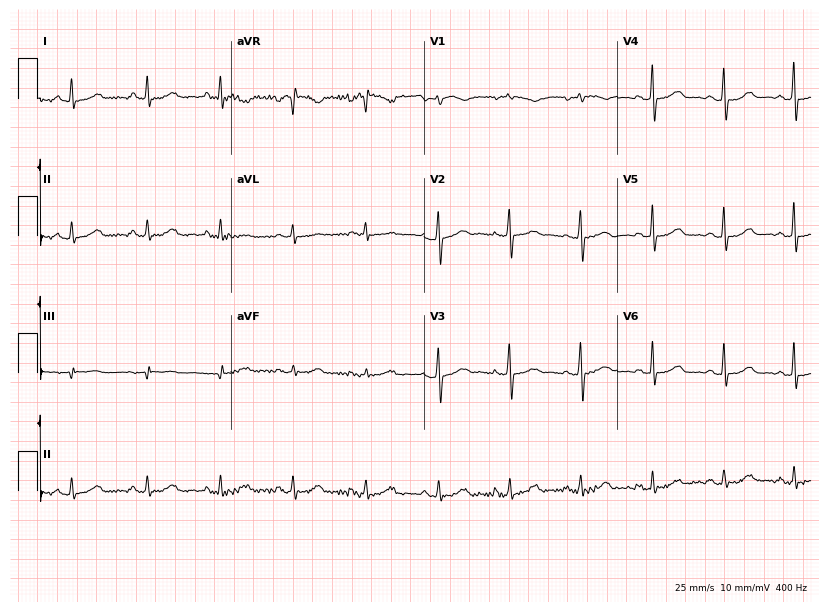
12-lead ECG from a female, 50 years old. Recorded interpretation: within normal limits.